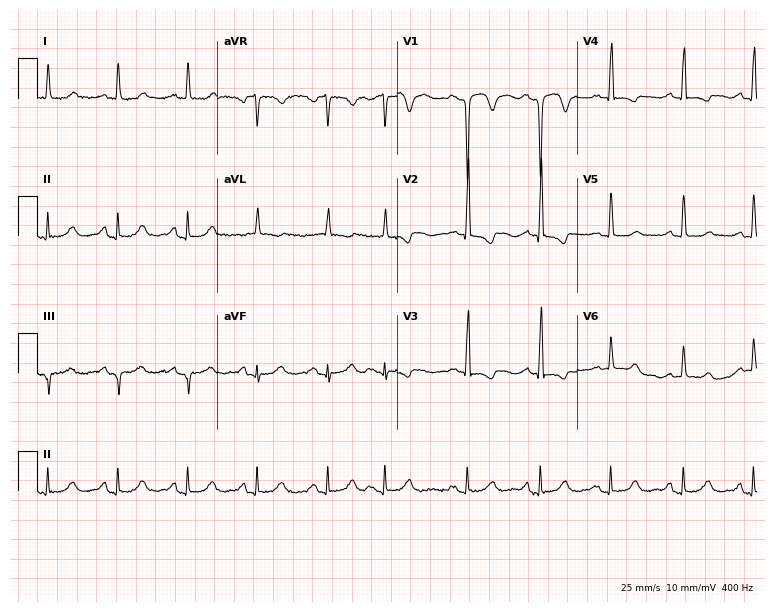
12-lead ECG from a female, 74 years old. No first-degree AV block, right bundle branch block (RBBB), left bundle branch block (LBBB), sinus bradycardia, atrial fibrillation (AF) or sinus tachycardia recorded for this tracing.